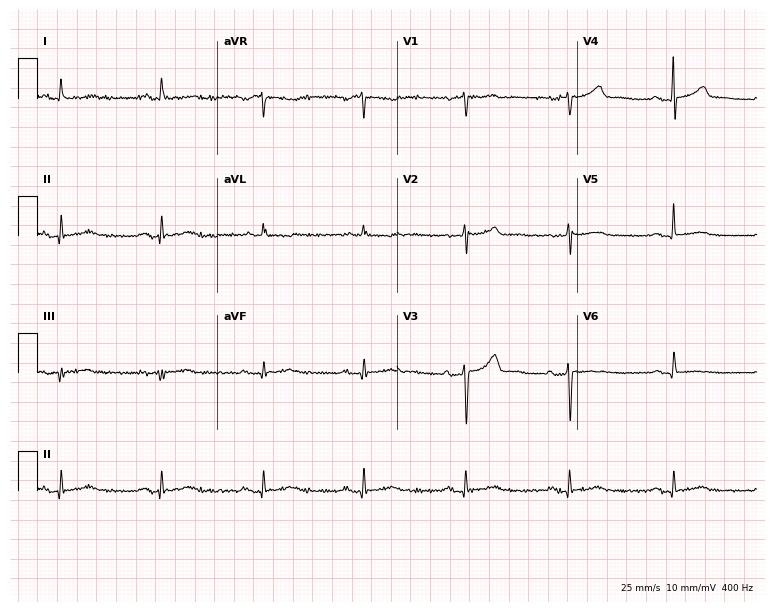
ECG (7.3-second recording at 400 Hz) — a 58-year-old woman. Labelled as a normal ECG.